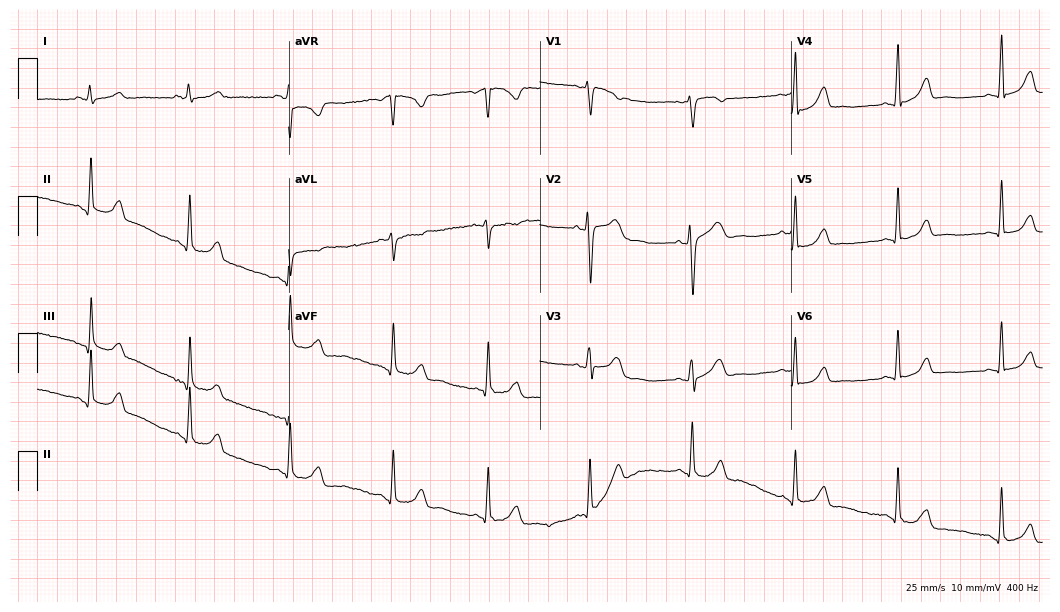
Resting 12-lead electrocardiogram (10.2-second recording at 400 Hz). Patient: a female, 21 years old. Read as a normal ECG.